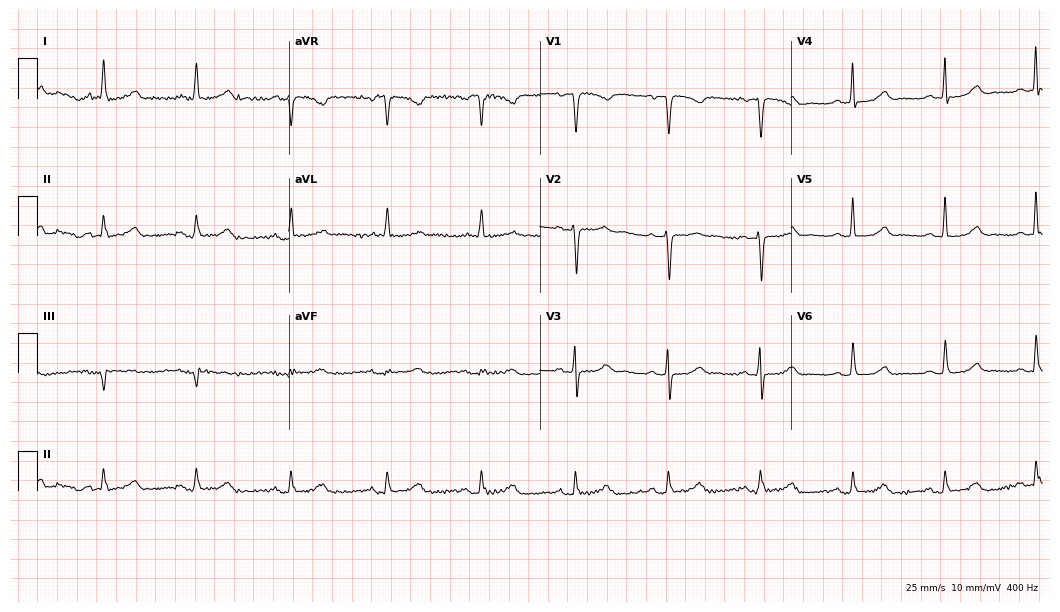
12-lead ECG from a female patient, 67 years old (10.2-second recording at 400 Hz). Recorded interpretation: within normal limits.